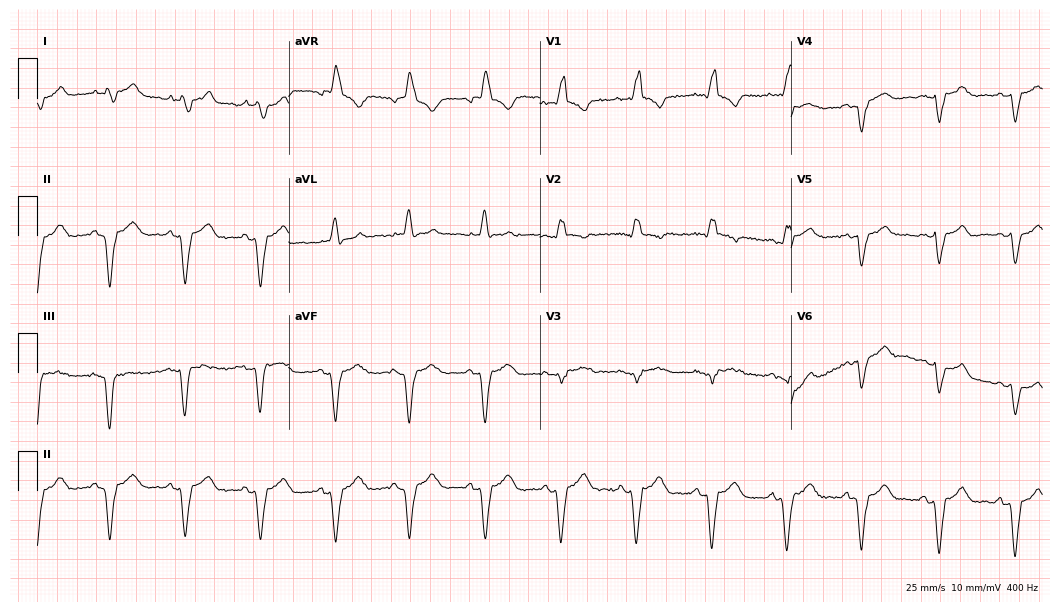
12-lead ECG from a male, 83 years old. Shows right bundle branch block.